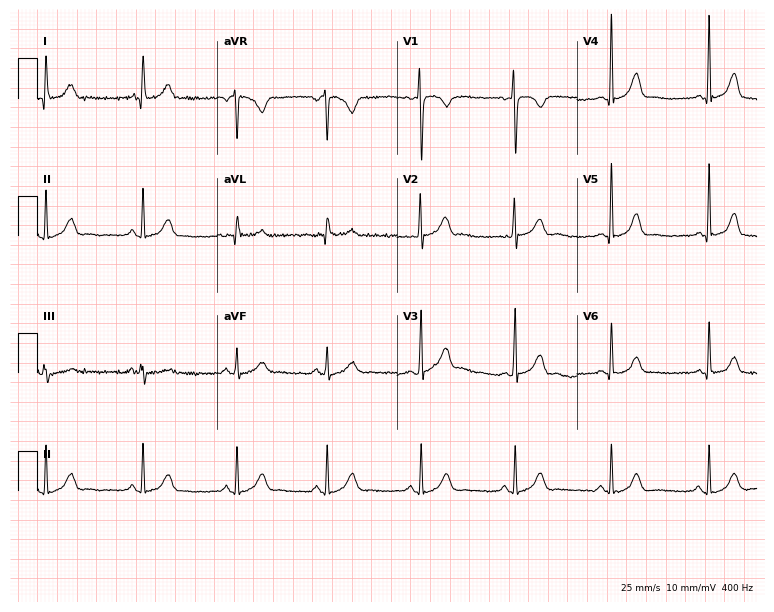
12-lead ECG from a 35-year-old male. Recorded interpretation: within normal limits.